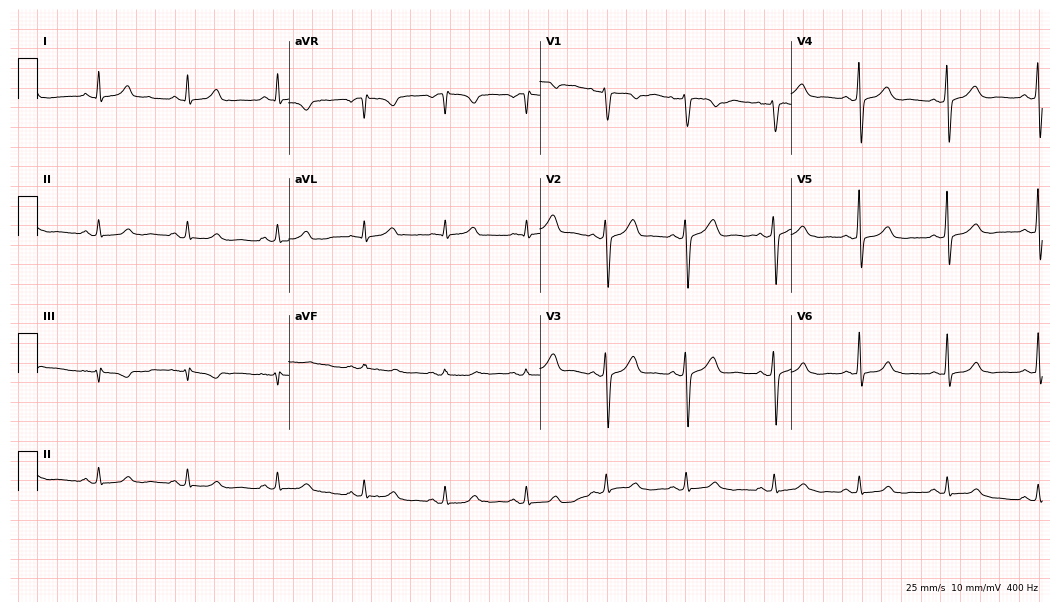
Electrocardiogram, a woman, 33 years old. Overall reading on record: normal ECG.